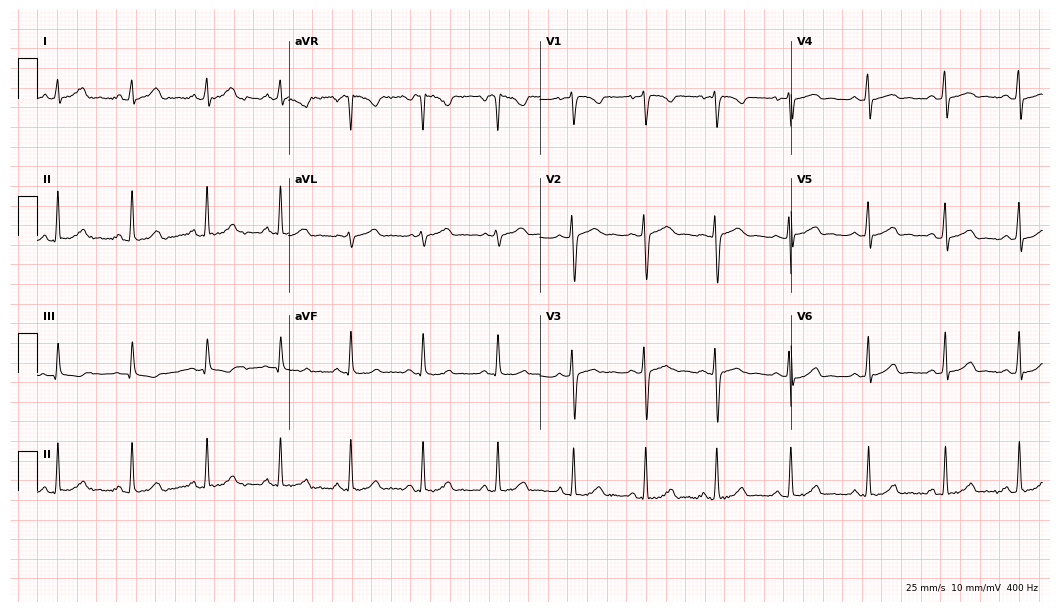
12-lead ECG from a woman, 19 years old. Recorded interpretation: within normal limits.